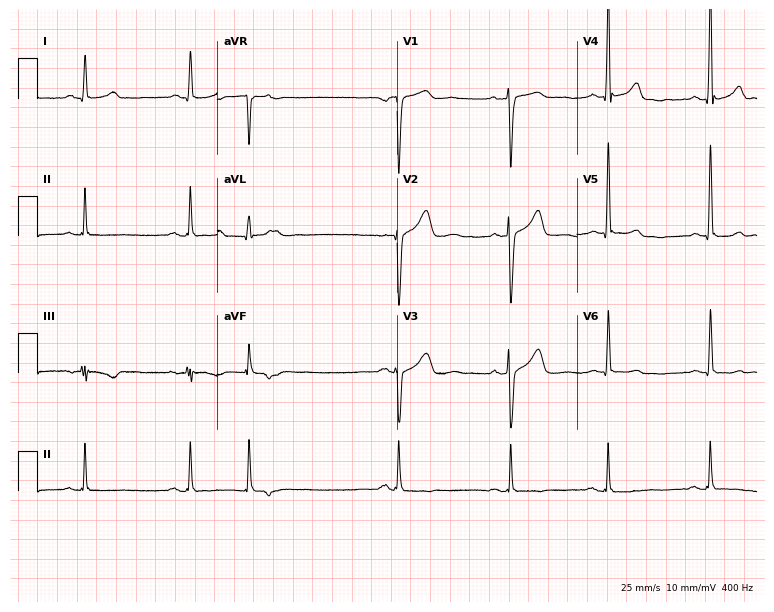
Standard 12-lead ECG recorded from a man, 53 years old. None of these six findings is recorded: first-degree AV block, right bundle branch block (RBBB), left bundle branch block (LBBB), sinus bradycardia, atrial fibrillation (AF), sinus tachycardia. Other findings, if any, are not listed.